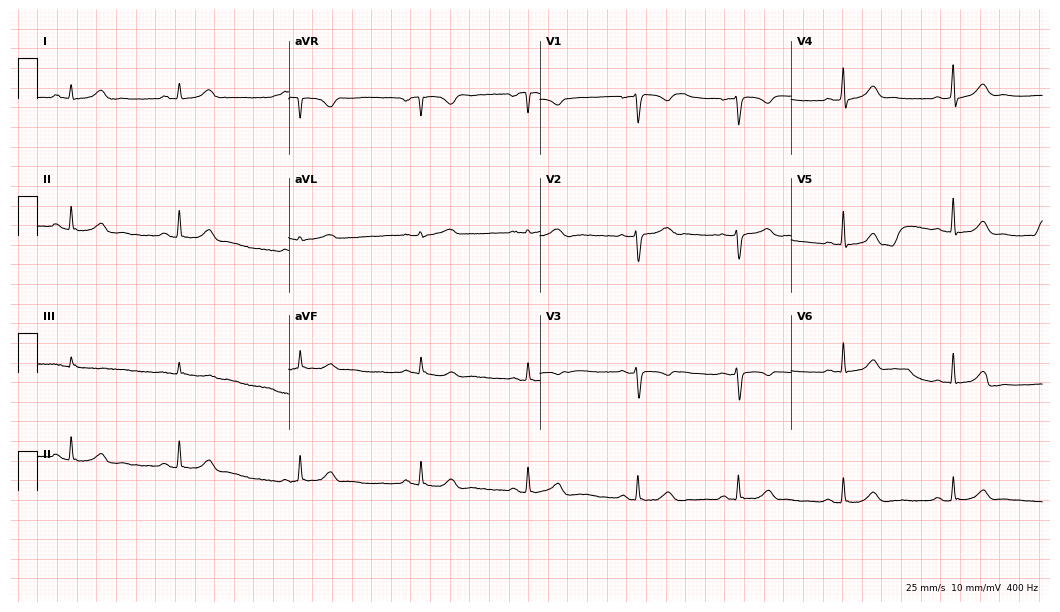
Electrocardiogram, a 31-year-old woman. Overall reading on record: normal ECG.